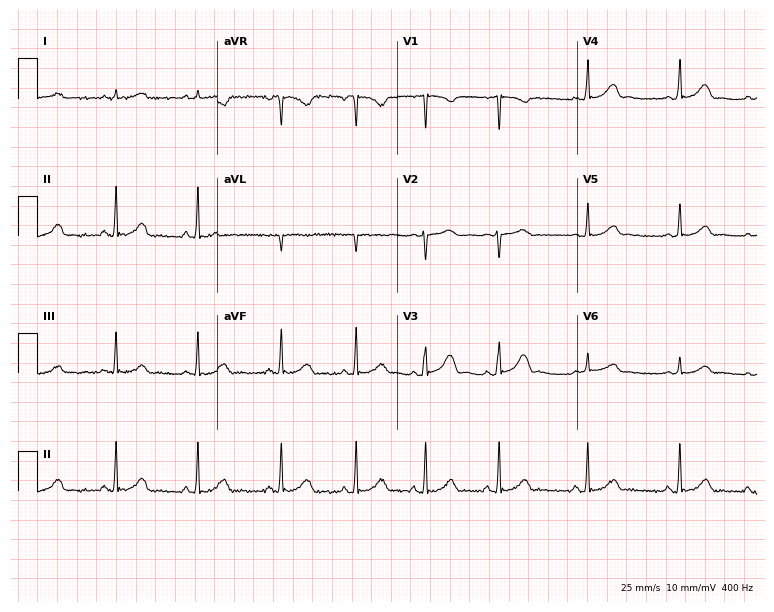
ECG (7.3-second recording at 400 Hz) — a female, 18 years old. Labelled as a normal ECG.